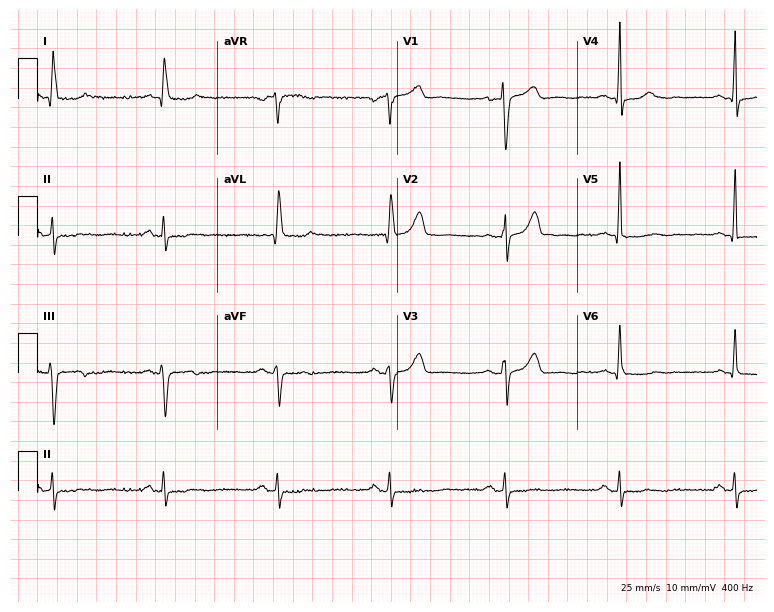
Resting 12-lead electrocardiogram. Patient: a male, 81 years old. None of these six findings is recorded: first-degree AV block, right bundle branch block, left bundle branch block, sinus bradycardia, atrial fibrillation, sinus tachycardia. Findings outside these six are not listed.